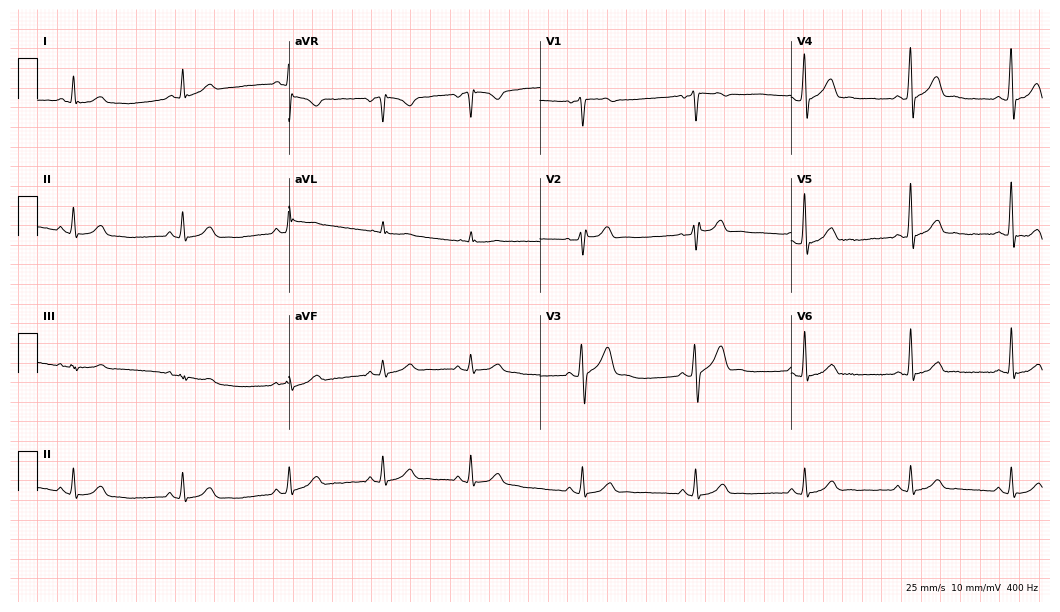
12-lead ECG from a male, 29 years old. Labelled as a normal ECG.